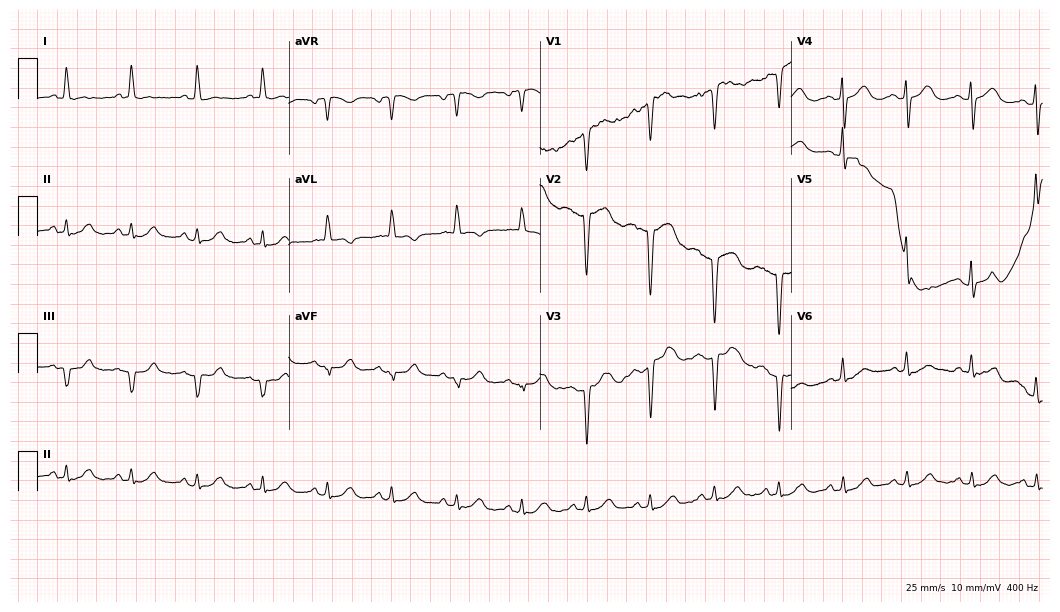
ECG — a 77-year-old female patient. Screened for six findings — first-degree AV block, right bundle branch block, left bundle branch block, sinus bradycardia, atrial fibrillation, sinus tachycardia — none is recorded.